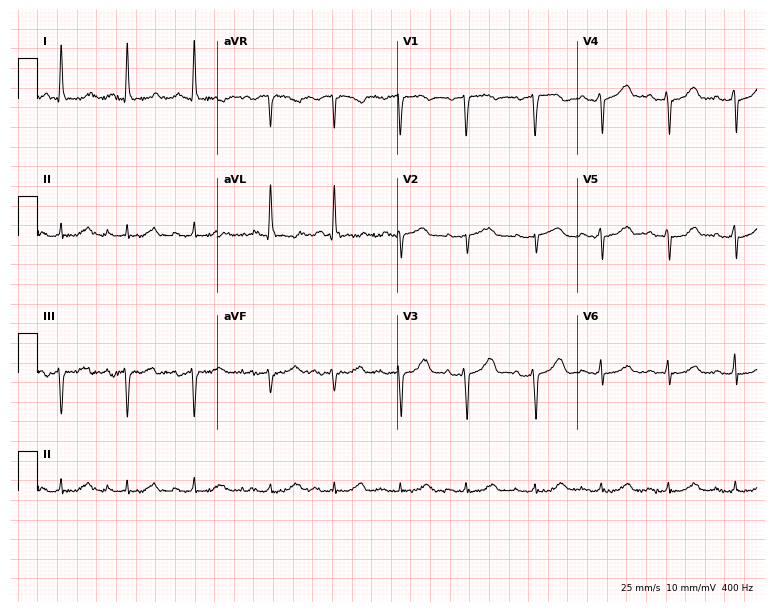
Standard 12-lead ECG recorded from a 69-year-old woman (7.3-second recording at 400 Hz). None of these six findings is recorded: first-degree AV block, right bundle branch block, left bundle branch block, sinus bradycardia, atrial fibrillation, sinus tachycardia.